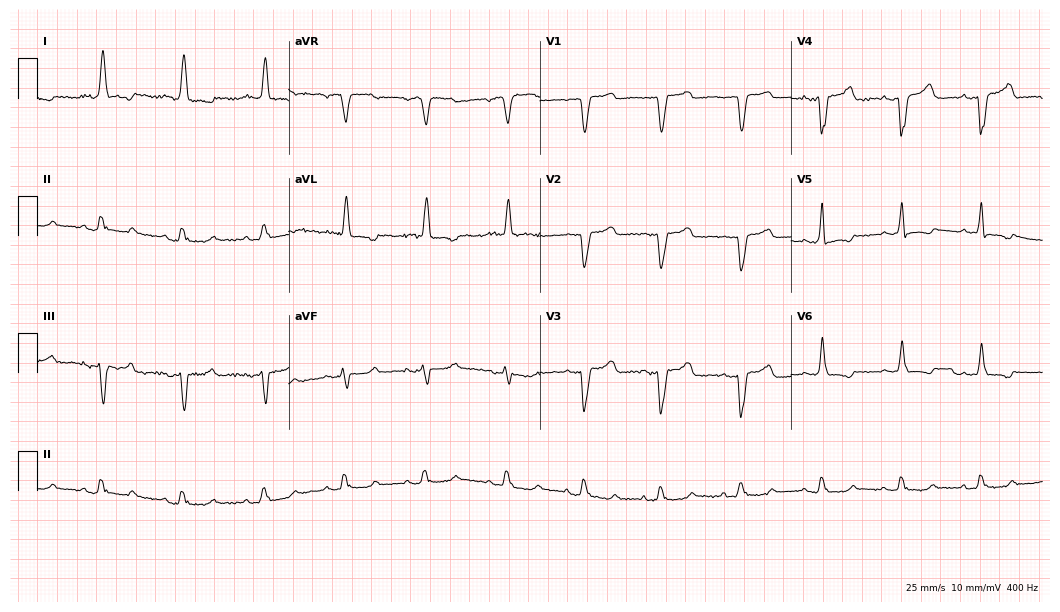
Electrocardiogram, a 54-year-old female patient. Of the six screened findings (first-degree AV block, right bundle branch block, left bundle branch block, sinus bradycardia, atrial fibrillation, sinus tachycardia), none is recorded. Only these six findings were labelled.